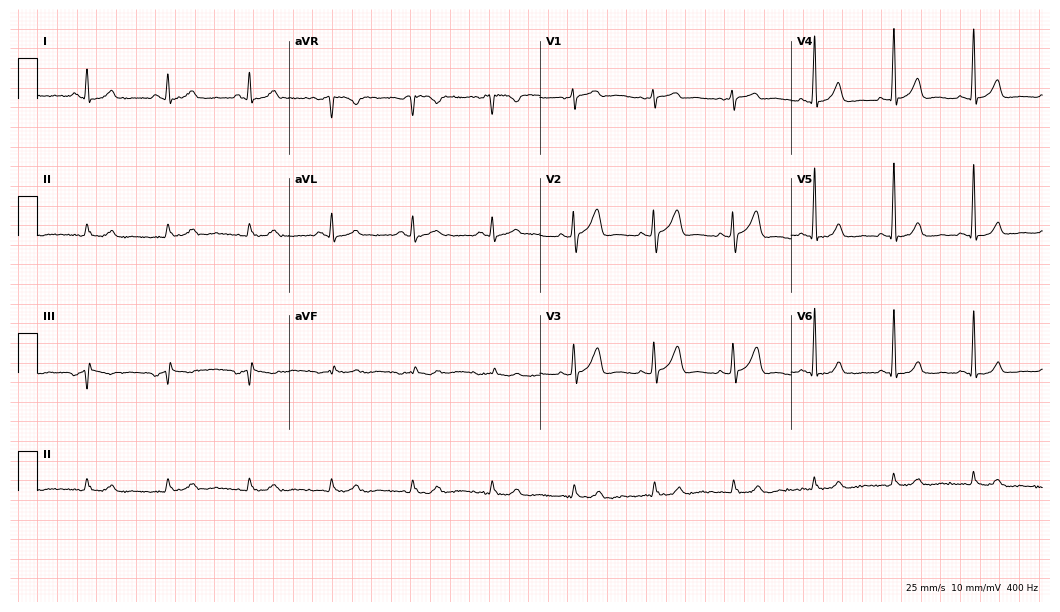
Electrocardiogram, a man, 54 years old. Of the six screened findings (first-degree AV block, right bundle branch block, left bundle branch block, sinus bradycardia, atrial fibrillation, sinus tachycardia), none is recorded. Only these six findings were labelled.